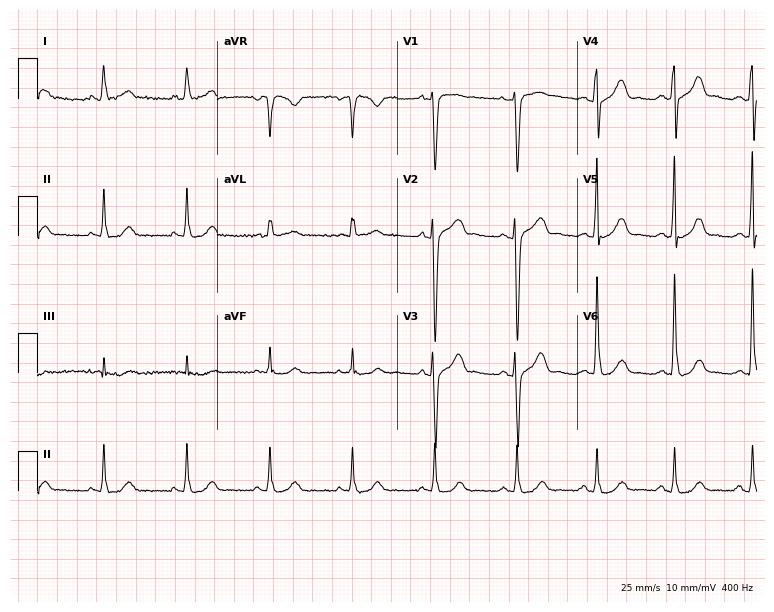
Standard 12-lead ECG recorded from a 51-year-old man. Read as a normal ECG.